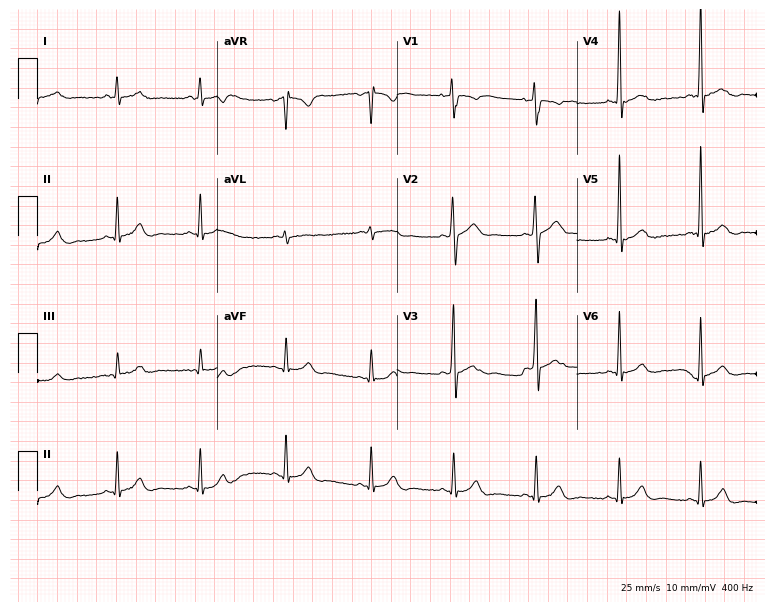
12-lead ECG (7.3-second recording at 400 Hz) from a man, 35 years old. Screened for six findings — first-degree AV block, right bundle branch block (RBBB), left bundle branch block (LBBB), sinus bradycardia, atrial fibrillation (AF), sinus tachycardia — none is recorded. Only these six findings were labelled.